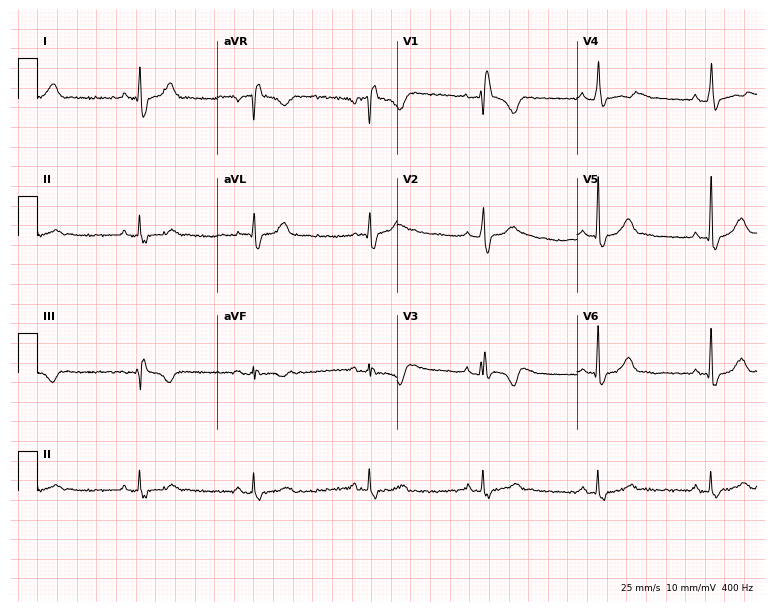
12-lead ECG (7.3-second recording at 400 Hz) from a 37-year-old woman. Findings include right bundle branch block.